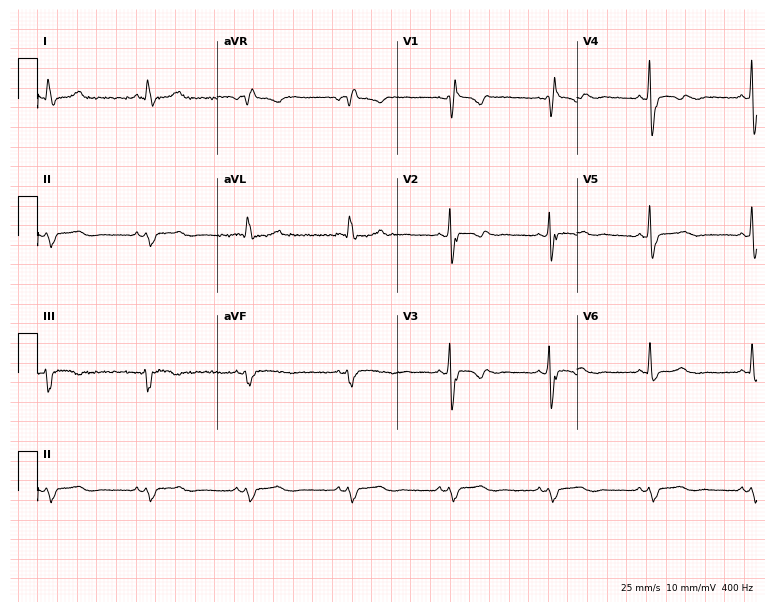
Standard 12-lead ECG recorded from a woman, 57 years old (7.3-second recording at 400 Hz). The tracing shows right bundle branch block (RBBB).